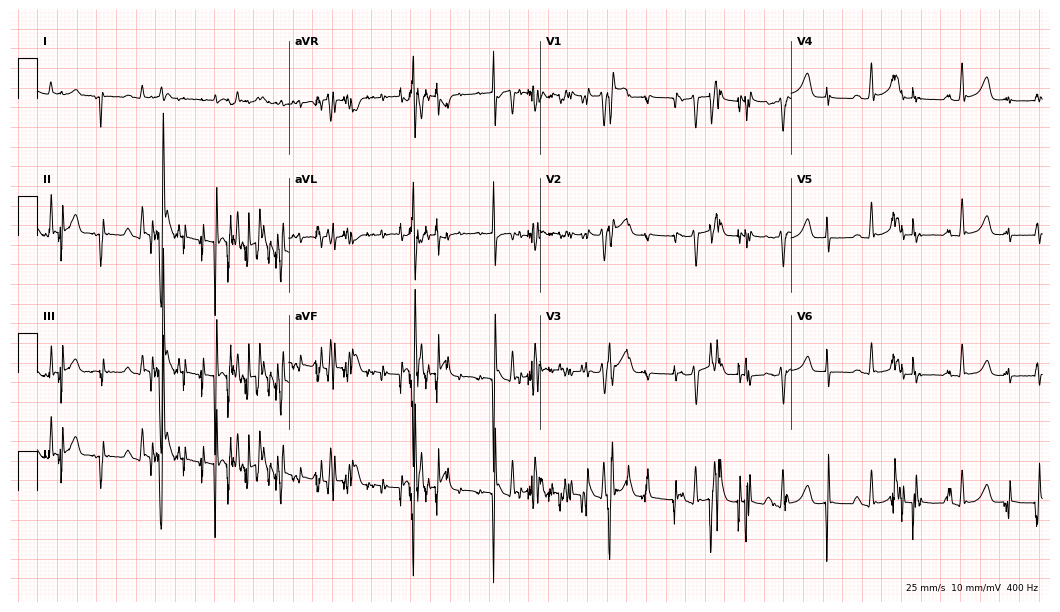
12-lead ECG from a 70-year-old man. No first-degree AV block, right bundle branch block, left bundle branch block, sinus bradycardia, atrial fibrillation or sinus tachycardia recorded for this tracing.